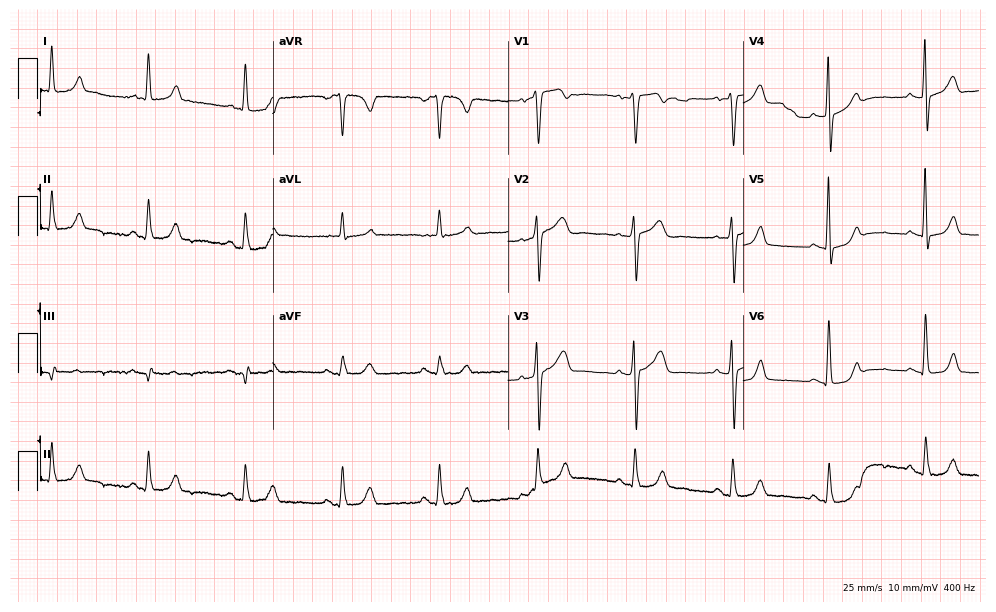
Resting 12-lead electrocardiogram. Patient: a male, 74 years old. Read as a normal ECG.